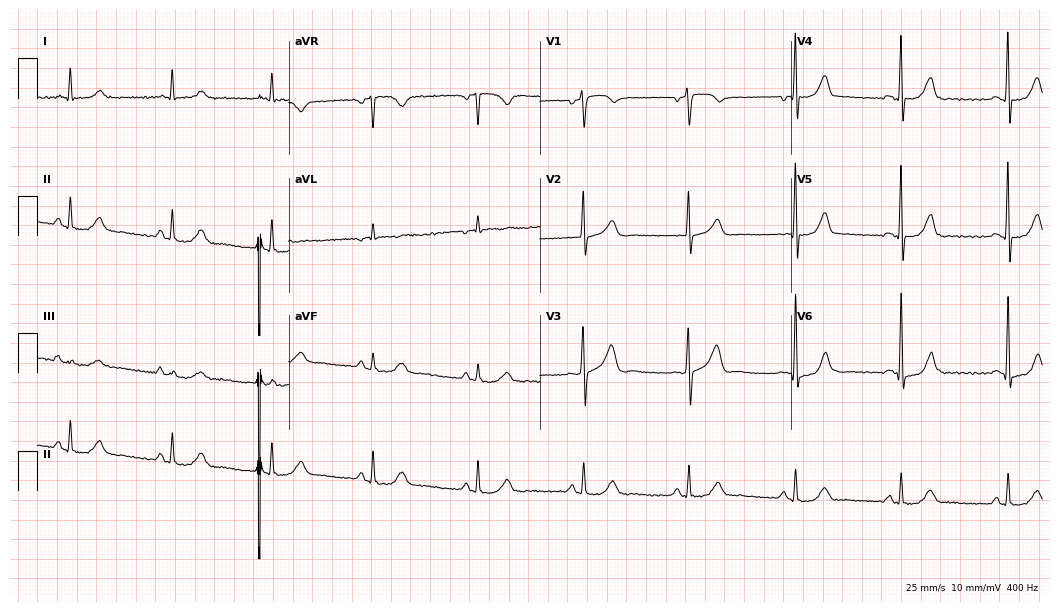
12-lead ECG from a 68-year-old man (10.2-second recording at 400 Hz). Recorded interpretation: within normal limits.